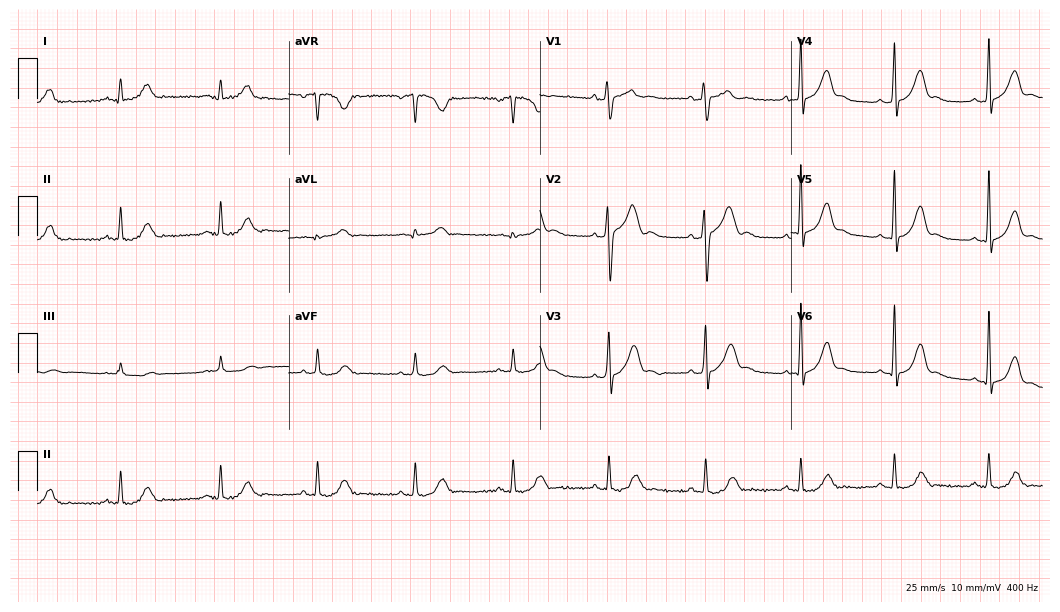
Standard 12-lead ECG recorded from a man, 42 years old. Read as a normal ECG.